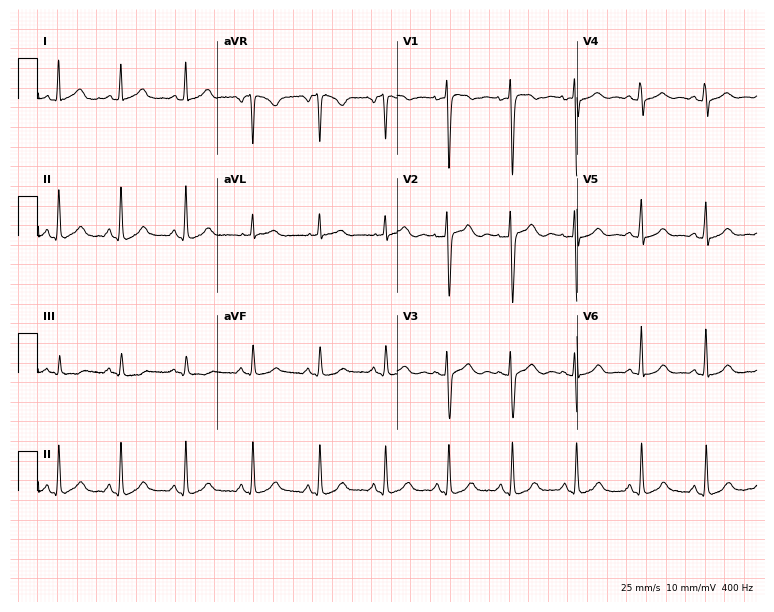
ECG (7.3-second recording at 400 Hz) — a woman, 51 years old. Labelled as a normal ECG.